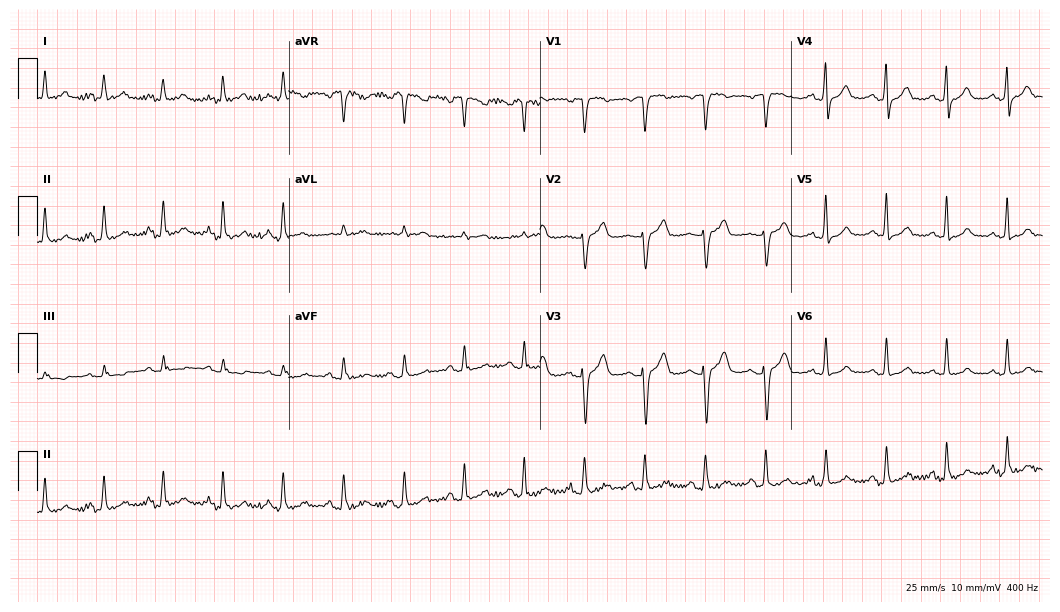
Electrocardiogram (10.2-second recording at 400 Hz), a 56-year-old woman. Overall reading on record: normal ECG.